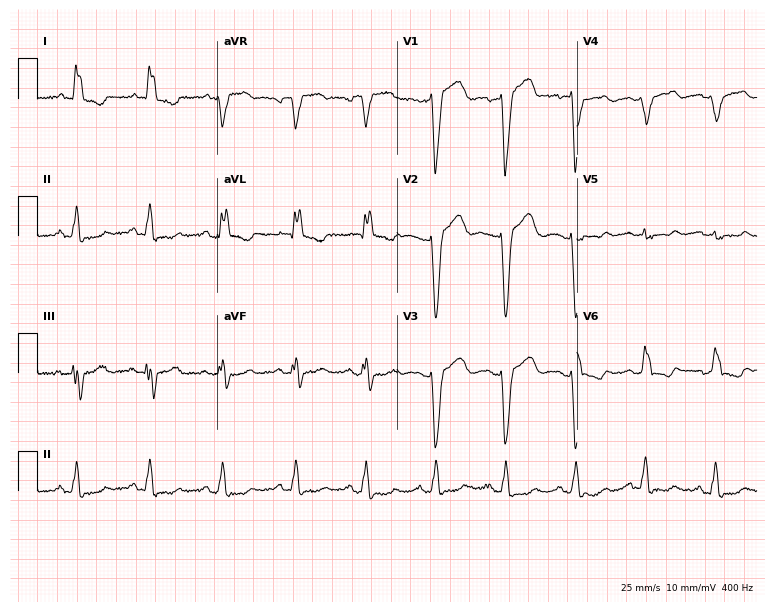
12-lead ECG from a 51-year-old female patient. Screened for six findings — first-degree AV block, right bundle branch block, left bundle branch block, sinus bradycardia, atrial fibrillation, sinus tachycardia — none is recorded. Other findings, if any, are not listed.